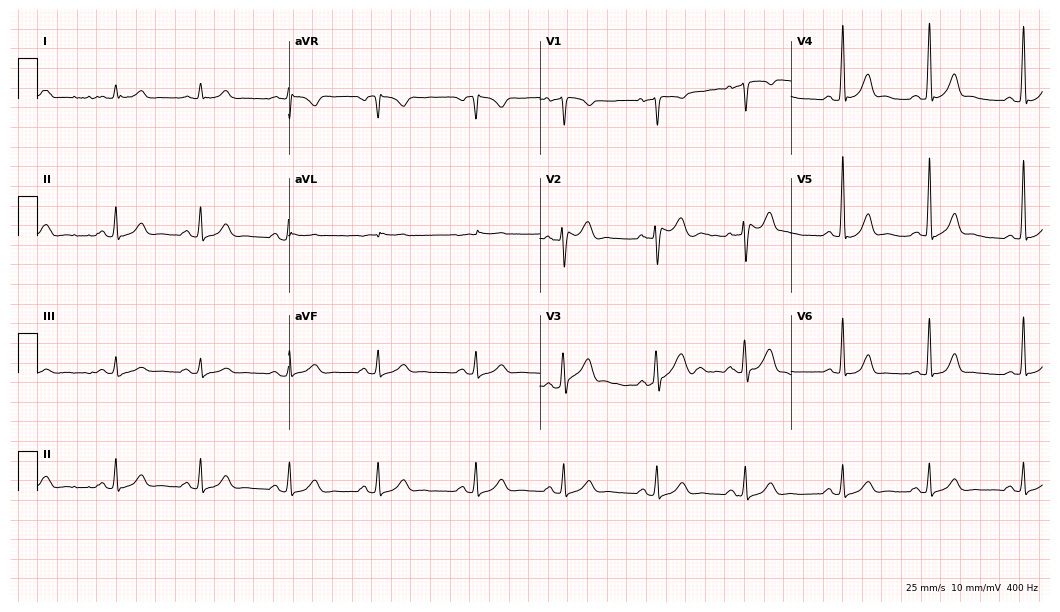
Resting 12-lead electrocardiogram (10.2-second recording at 400 Hz). Patient: a male, 75 years old. Read as a normal ECG.